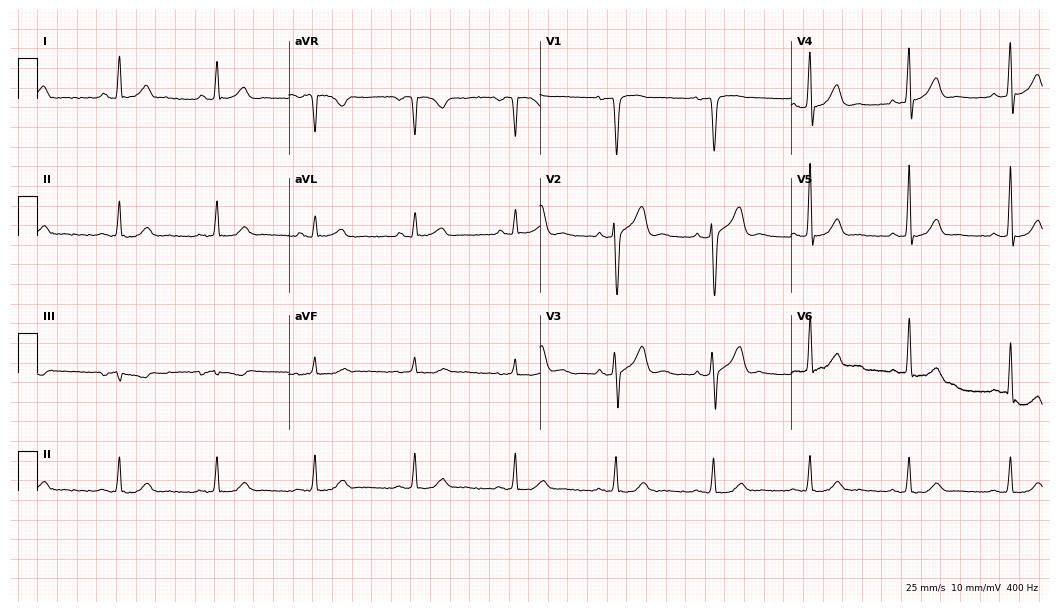
Standard 12-lead ECG recorded from a 52-year-old male (10.2-second recording at 400 Hz). Read as a normal ECG.